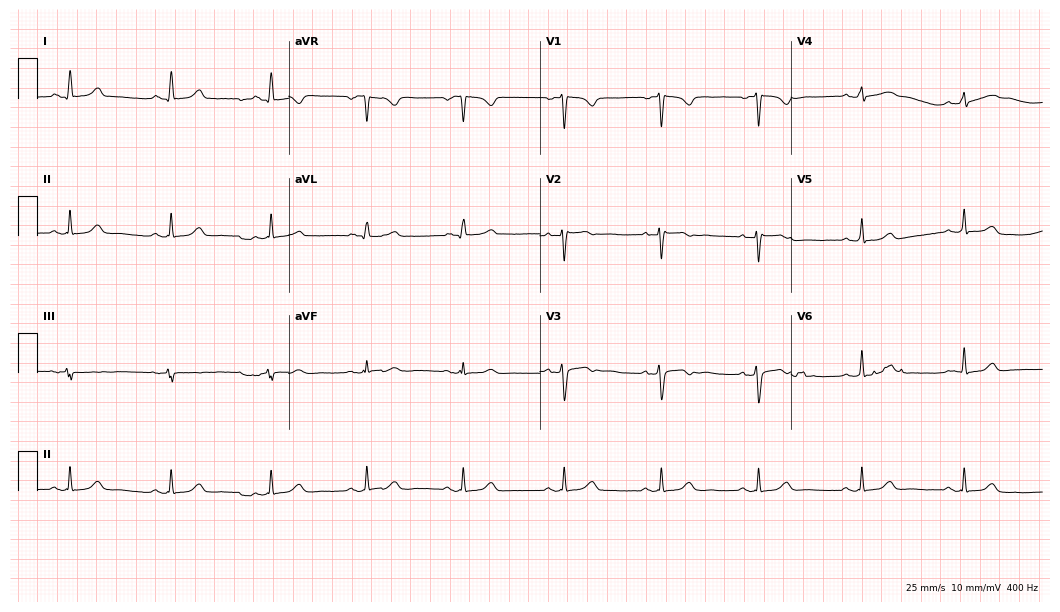
Resting 12-lead electrocardiogram. Patient: a 36-year-old female. Read as a normal ECG.